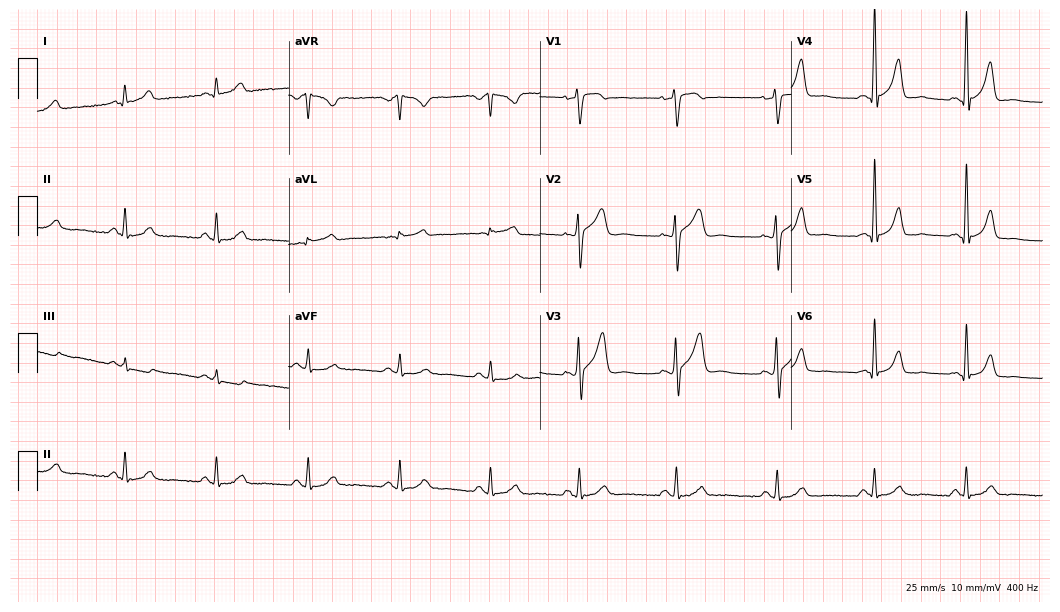
Standard 12-lead ECG recorded from a man, 45 years old (10.2-second recording at 400 Hz). None of these six findings is recorded: first-degree AV block, right bundle branch block (RBBB), left bundle branch block (LBBB), sinus bradycardia, atrial fibrillation (AF), sinus tachycardia. Findings outside these six are not listed.